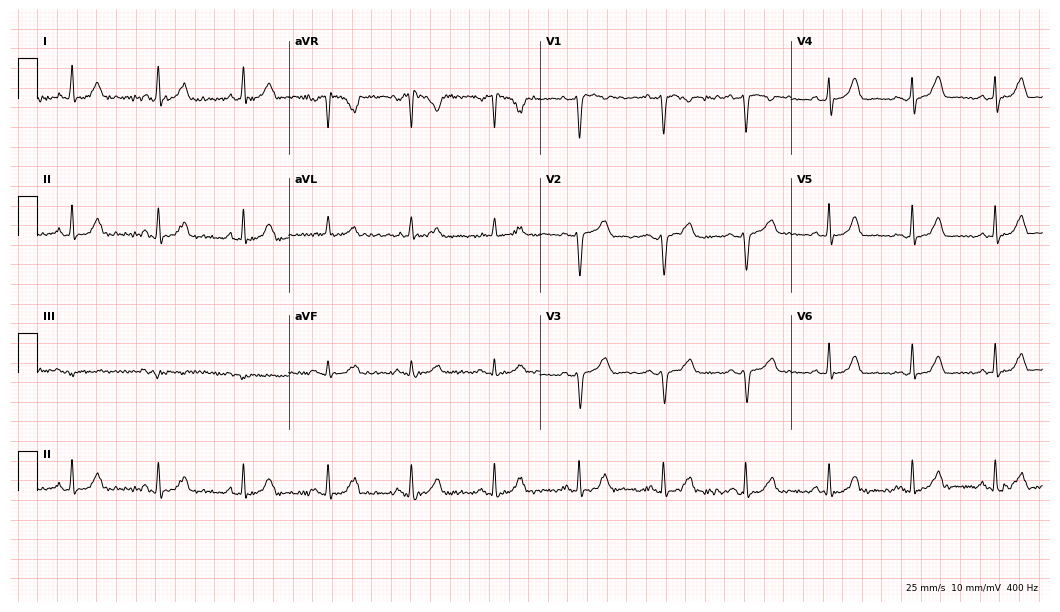
ECG — a 46-year-old woman. Labelled as a normal ECG.